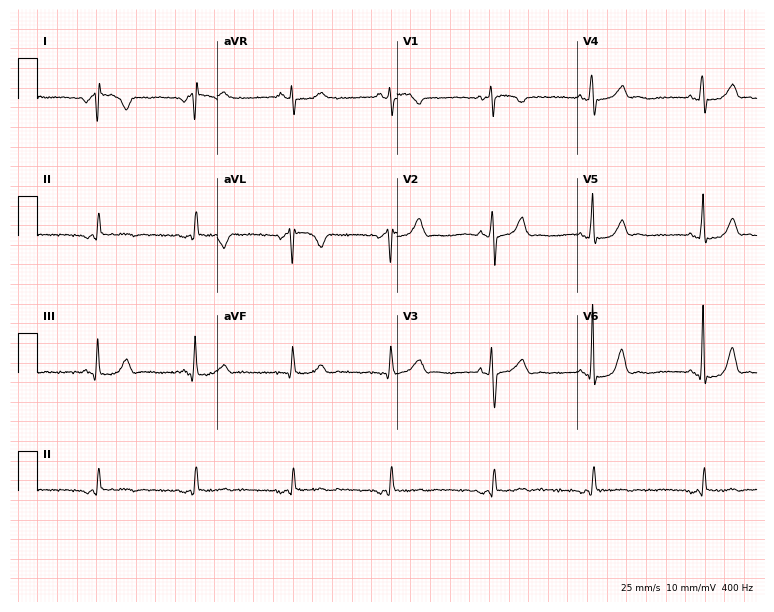
Standard 12-lead ECG recorded from a female, 39 years old. None of these six findings is recorded: first-degree AV block, right bundle branch block, left bundle branch block, sinus bradycardia, atrial fibrillation, sinus tachycardia. Other findings, if any, are not listed.